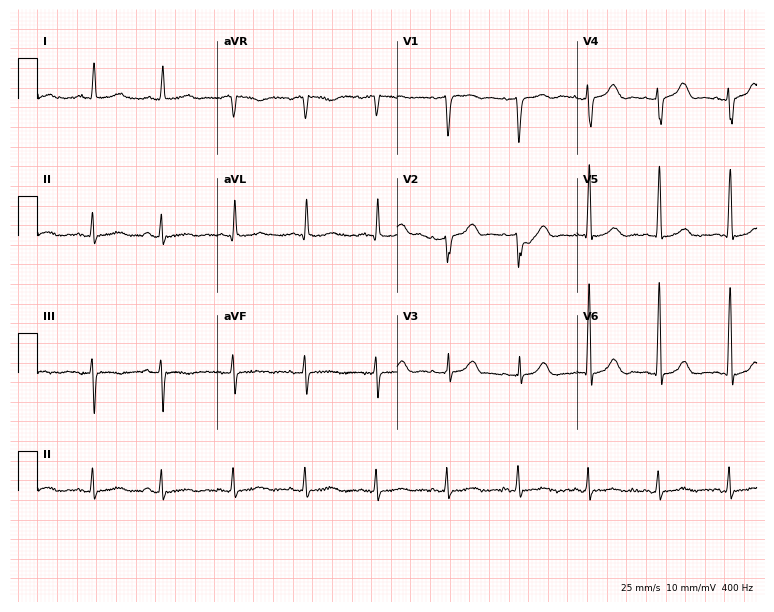
ECG — a woman, 83 years old. Screened for six findings — first-degree AV block, right bundle branch block (RBBB), left bundle branch block (LBBB), sinus bradycardia, atrial fibrillation (AF), sinus tachycardia — none is recorded. Findings outside these six are not listed.